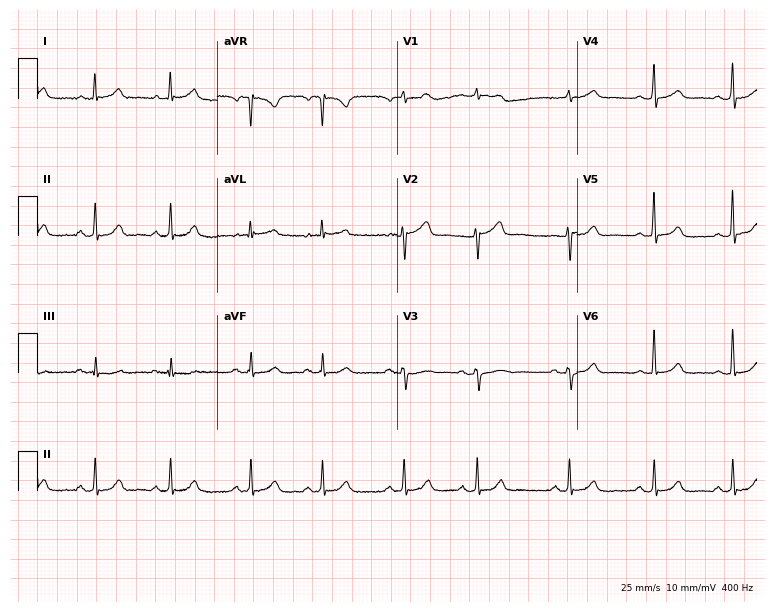
Resting 12-lead electrocardiogram. Patient: a 61-year-old female. Read as a normal ECG.